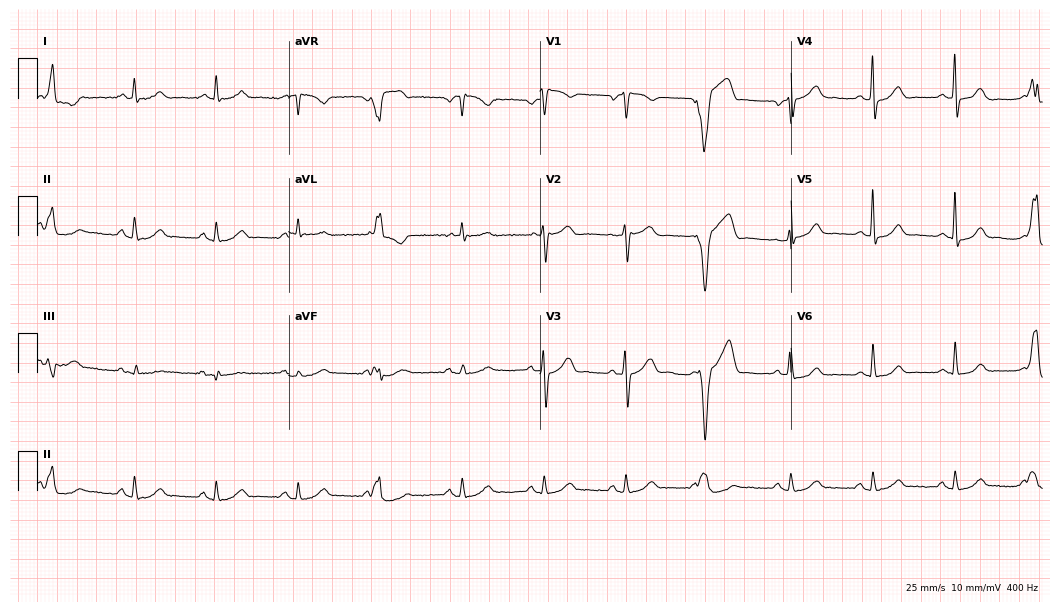
Resting 12-lead electrocardiogram. Patient: a male, 73 years old. None of these six findings is recorded: first-degree AV block, right bundle branch block (RBBB), left bundle branch block (LBBB), sinus bradycardia, atrial fibrillation (AF), sinus tachycardia.